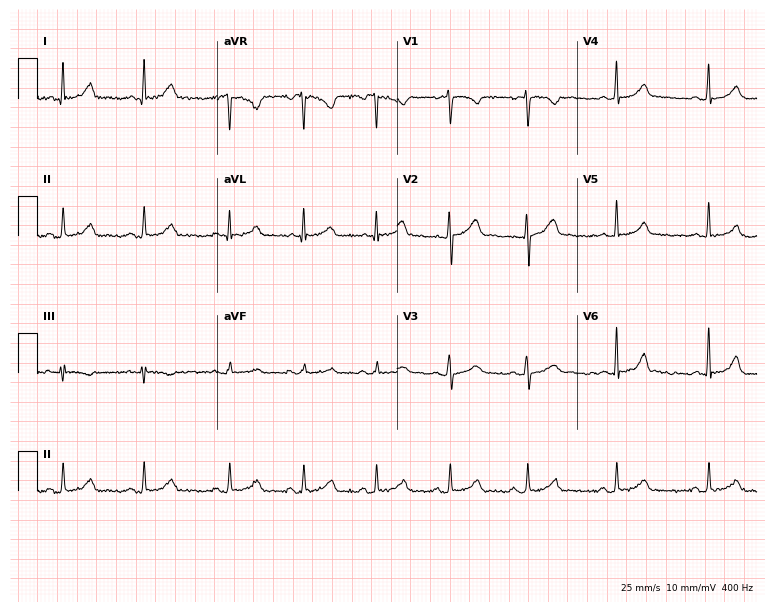
ECG — a female patient, 43 years old. Labelled as a normal ECG.